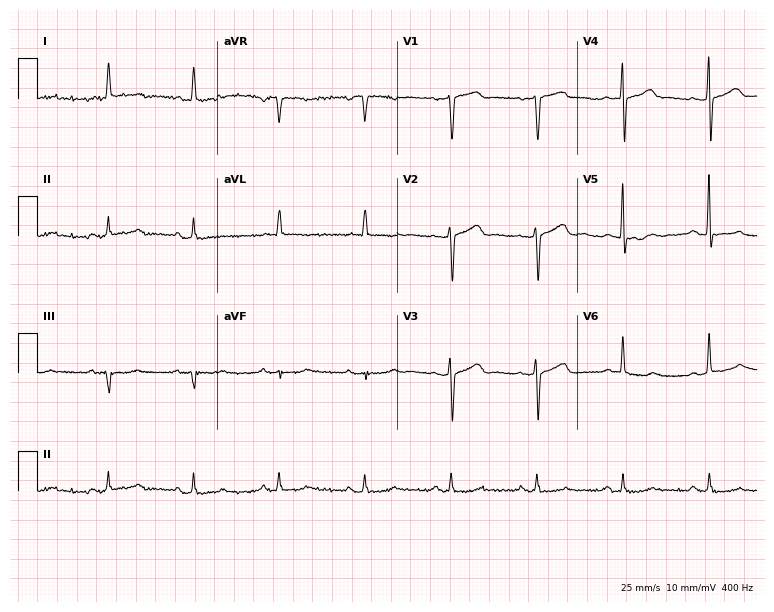
ECG — a woman, 70 years old. Screened for six findings — first-degree AV block, right bundle branch block (RBBB), left bundle branch block (LBBB), sinus bradycardia, atrial fibrillation (AF), sinus tachycardia — none is recorded. Other findings, if any, are not listed.